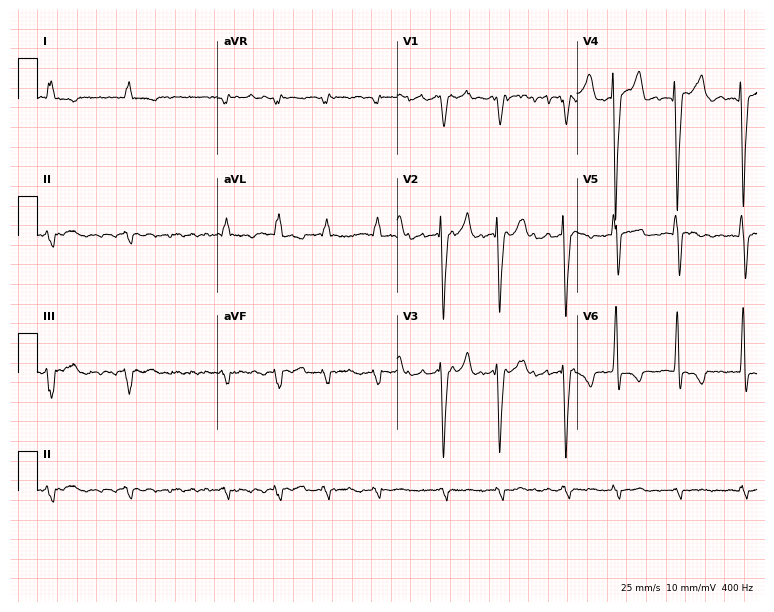
Standard 12-lead ECG recorded from a male patient, 67 years old (7.3-second recording at 400 Hz). The tracing shows atrial fibrillation (AF).